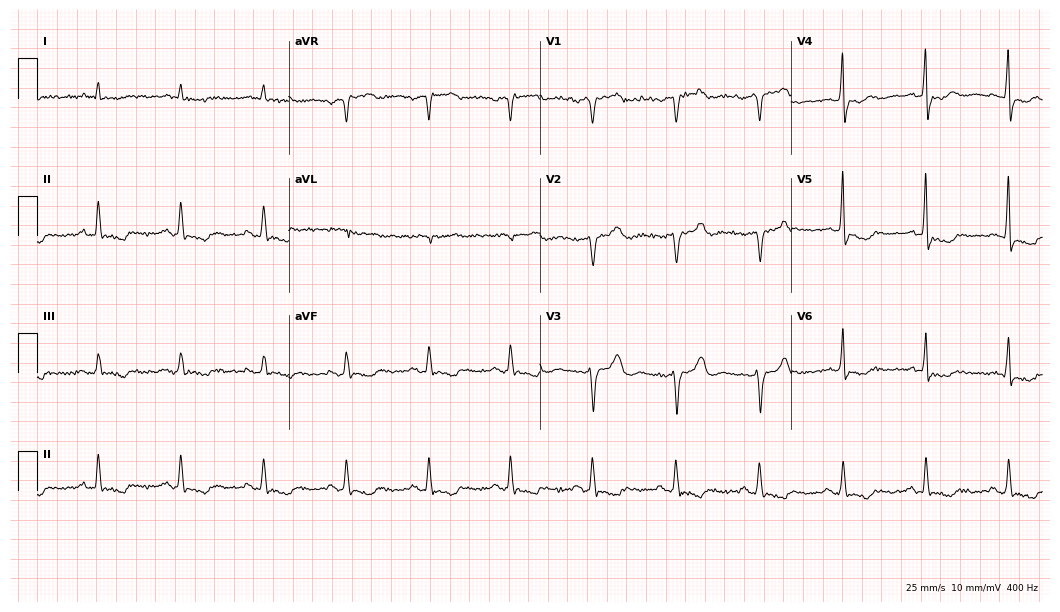
12-lead ECG from a male patient, 83 years old. Findings include left bundle branch block.